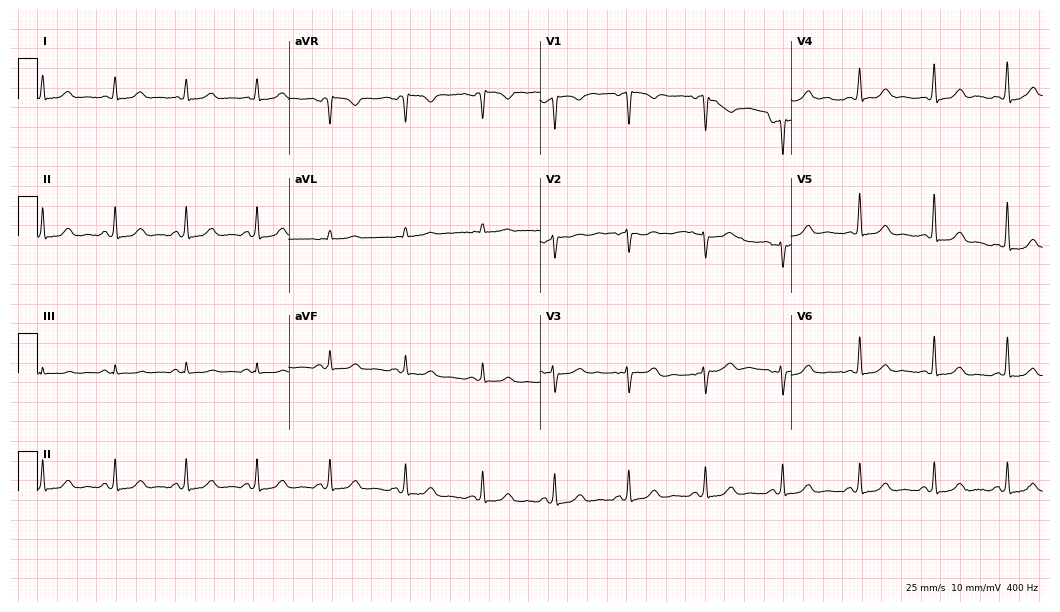
Electrocardiogram, a woman, 38 years old. Overall reading on record: normal ECG.